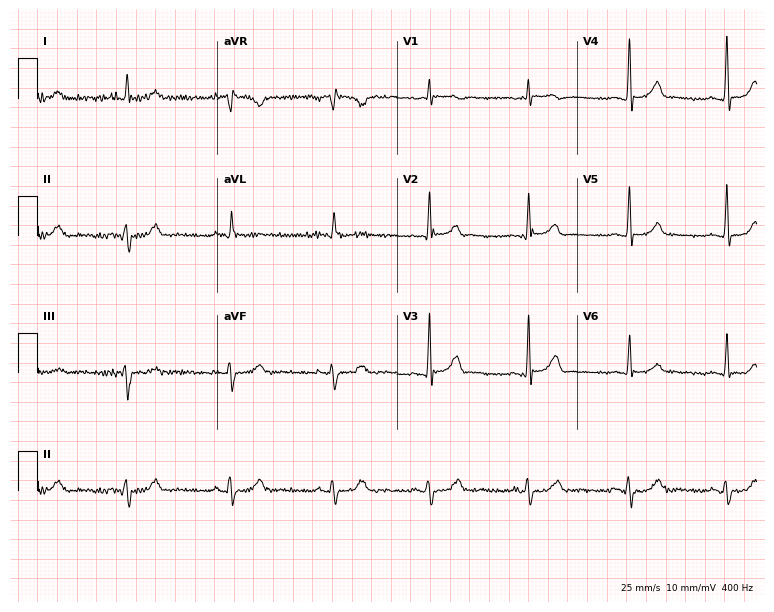
Electrocardiogram (7.3-second recording at 400 Hz), a male patient, 67 years old. Of the six screened findings (first-degree AV block, right bundle branch block (RBBB), left bundle branch block (LBBB), sinus bradycardia, atrial fibrillation (AF), sinus tachycardia), none is recorded.